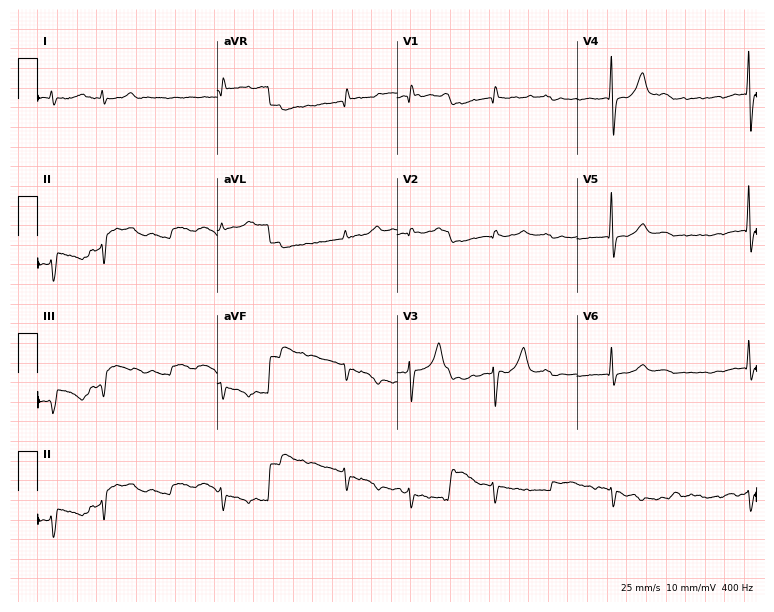
Standard 12-lead ECG recorded from a male, 83 years old (7.3-second recording at 400 Hz). The tracing shows atrial fibrillation (AF).